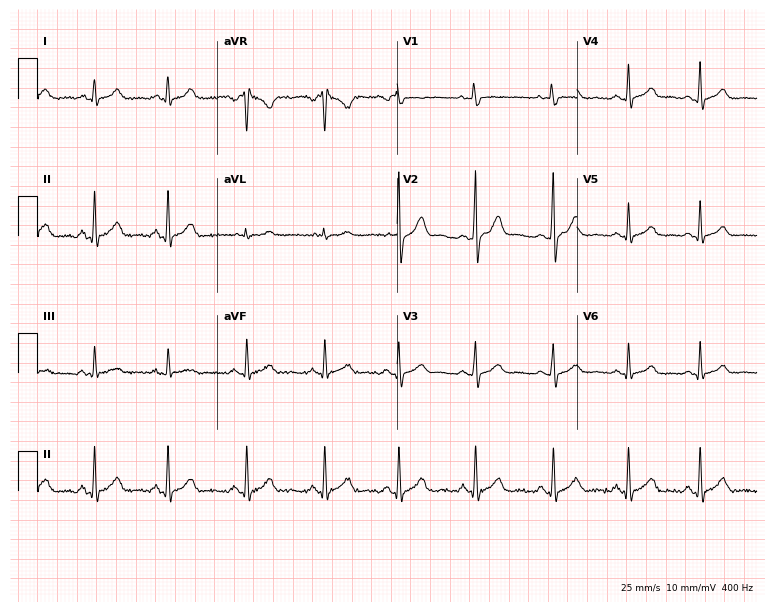
Electrocardiogram, a female patient, 19 years old. Overall reading on record: normal ECG.